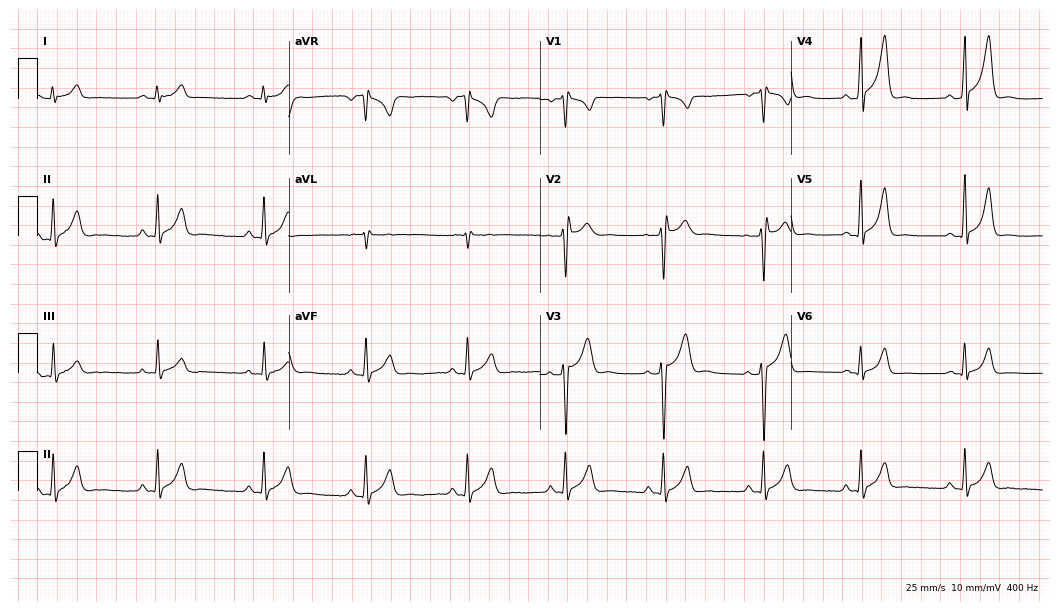
Resting 12-lead electrocardiogram (10.2-second recording at 400 Hz). Patient: a male, 24 years old. Read as a normal ECG.